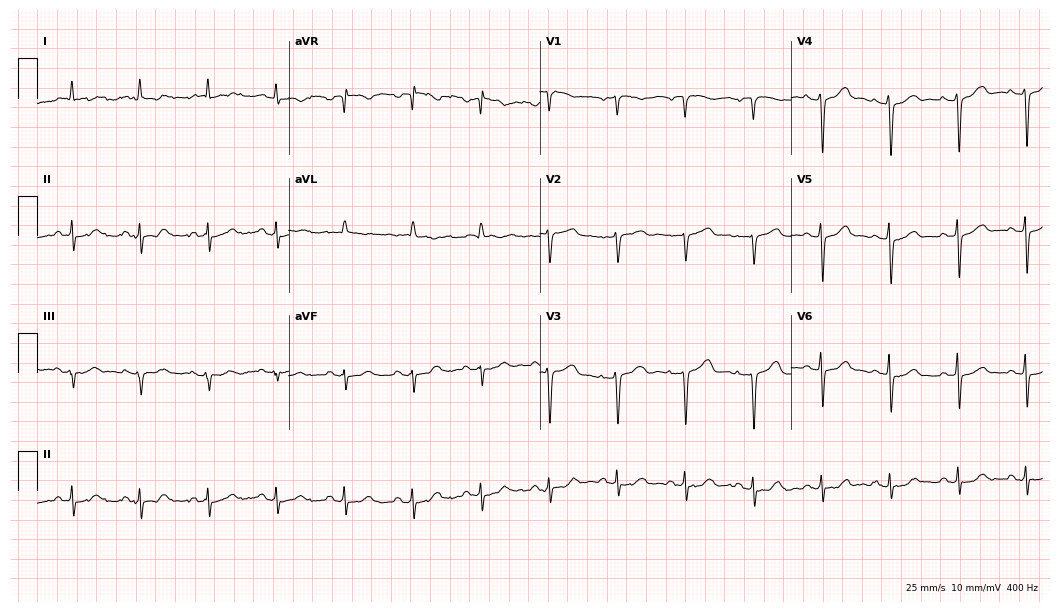
Electrocardiogram, a woman, 83 years old. Of the six screened findings (first-degree AV block, right bundle branch block, left bundle branch block, sinus bradycardia, atrial fibrillation, sinus tachycardia), none is recorded. Other findings, if any, are not listed.